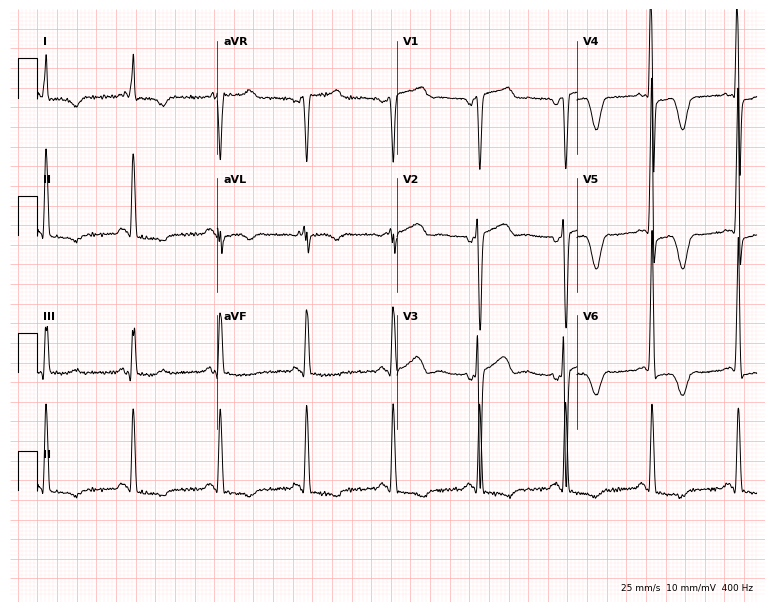
Standard 12-lead ECG recorded from a 75-year-old woman. None of these six findings is recorded: first-degree AV block, right bundle branch block, left bundle branch block, sinus bradycardia, atrial fibrillation, sinus tachycardia.